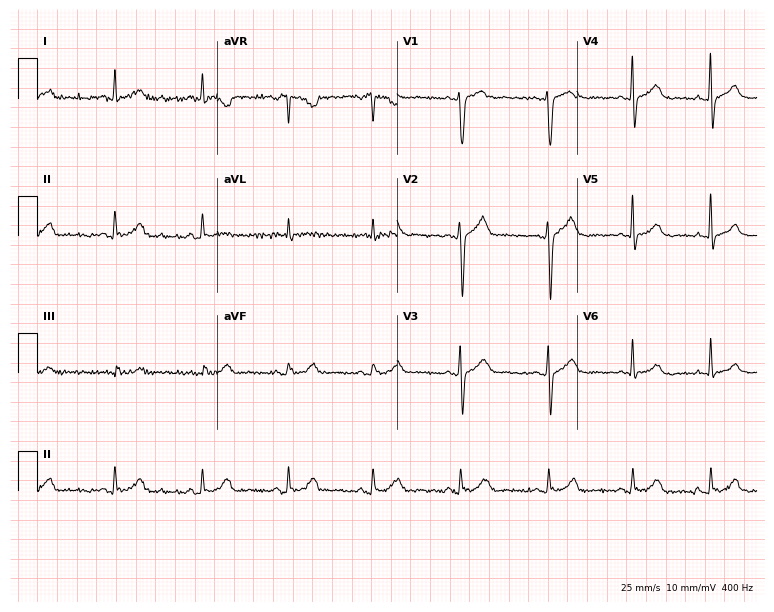
ECG — a man, 41 years old. Labelled as a normal ECG.